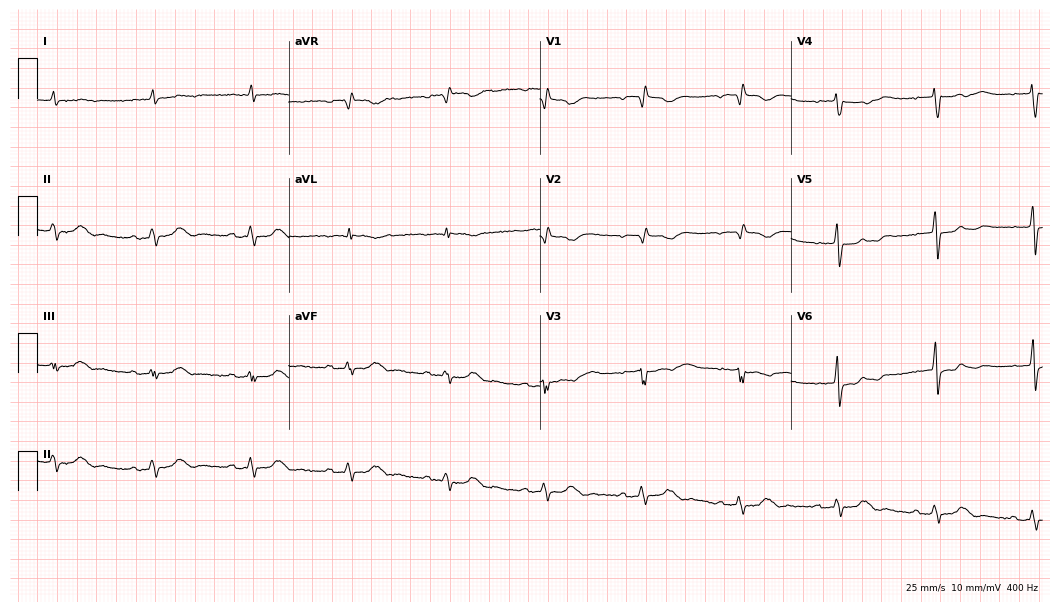
12-lead ECG (10.2-second recording at 400 Hz) from a 74-year-old male. Screened for six findings — first-degree AV block, right bundle branch block (RBBB), left bundle branch block (LBBB), sinus bradycardia, atrial fibrillation (AF), sinus tachycardia — none is recorded.